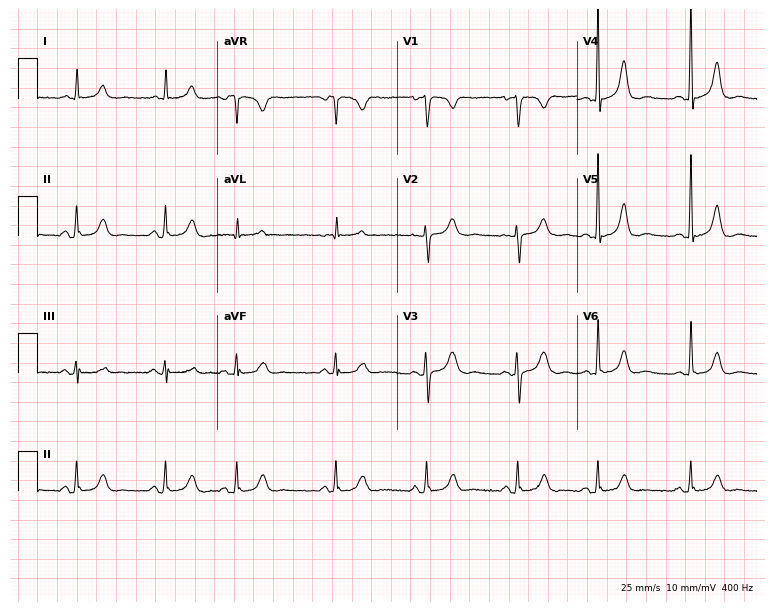
12-lead ECG from a woman, 74 years old (7.3-second recording at 400 Hz). Recorded interpretation: within normal limits.